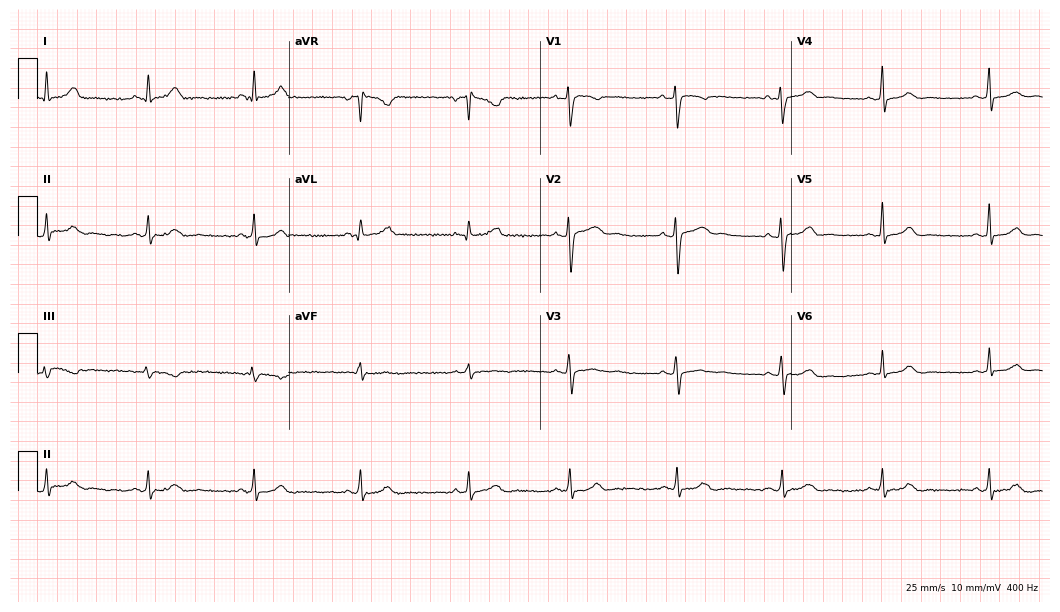
Standard 12-lead ECG recorded from a 28-year-old female patient (10.2-second recording at 400 Hz). None of these six findings is recorded: first-degree AV block, right bundle branch block, left bundle branch block, sinus bradycardia, atrial fibrillation, sinus tachycardia. Only these six findings were labelled.